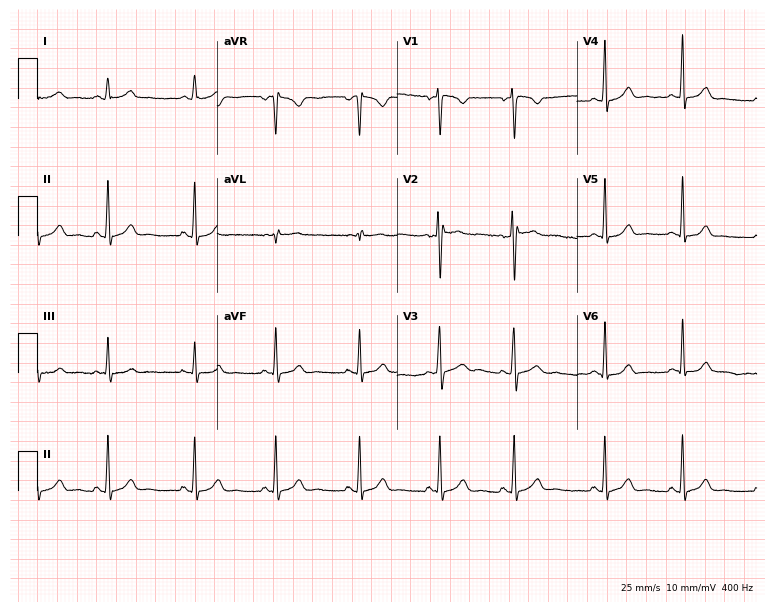
Electrocardiogram (7.3-second recording at 400 Hz), a 19-year-old female patient. Overall reading on record: normal ECG.